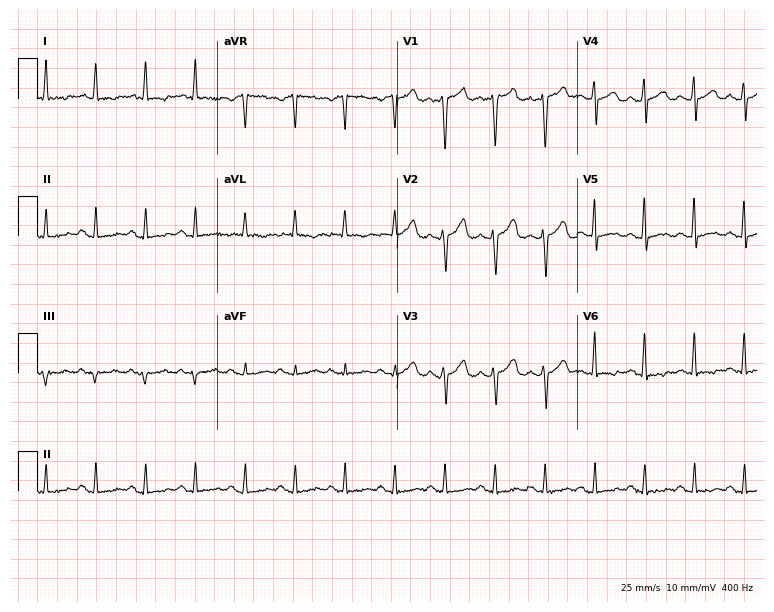
Standard 12-lead ECG recorded from a male patient, 63 years old (7.3-second recording at 400 Hz). The tracing shows sinus tachycardia (a sinus rate of 100 beats per minute or more).